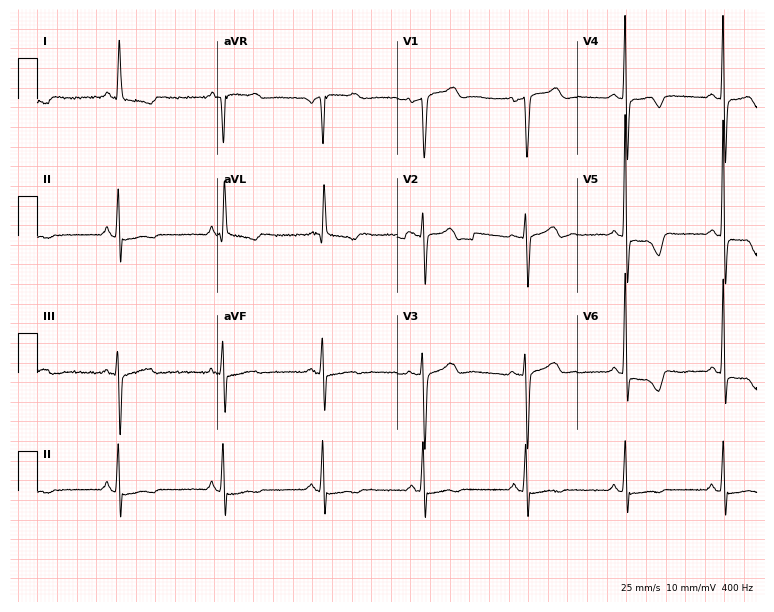
Resting 12-lead electrocardiogram (7.3-second recording at 400 Hz). Patient: a female, 76 years old. None of these six findings is recorded: first-degree AV block, right bundle branch block, left bundle branch block, sinus bradycardia, atrial fibrillation, sinus tachycardia. Only these six findings were labelled.